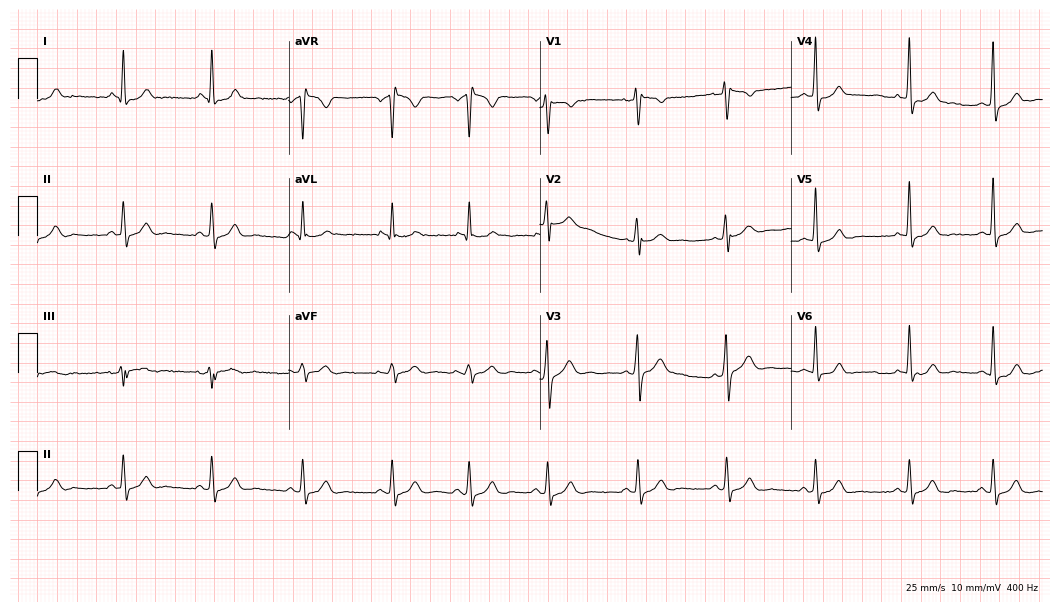
Standard 12-lead ECG recorded from a male patient, 31 years old (10.2-second recording at 400 Hz). None of these six findings is recorded: first-degree AV block, right bundle branch block, left bundle branch block, sinus bradycardia, atrial fibrillation, sinus tachycardia. Other findings, if any, are not listed.